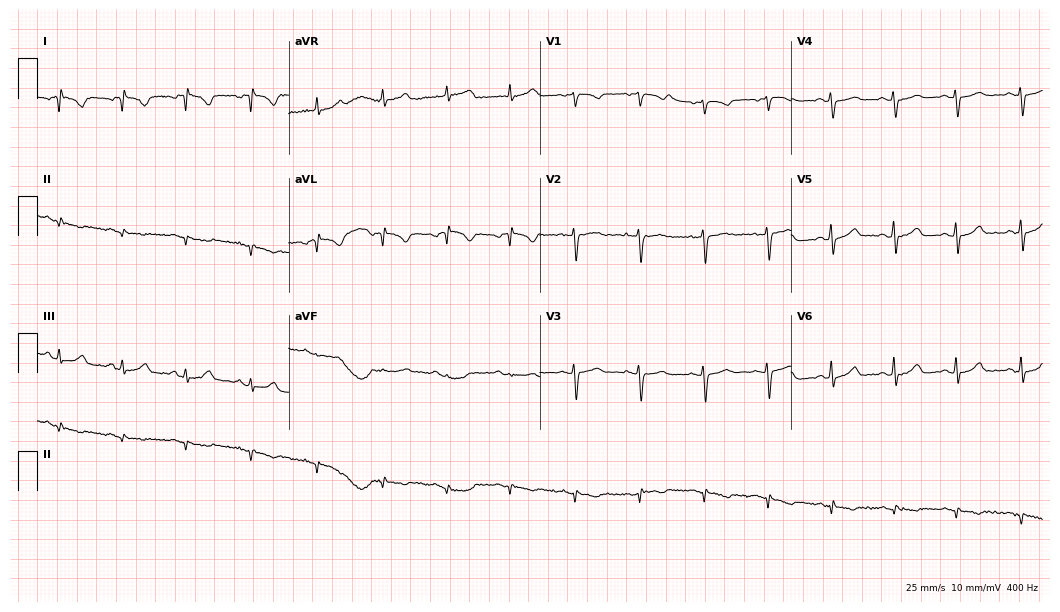
Resting 12-lead electrocardiogram (10.2-second recording at 400 Hz). Patient: a female, 43 years old. None of these six findings is recorded: first-degree AV block, right bundle branch block (RBBB), left bundle branch block (LBBB), sinus bradycardia, atrial fibrillation (AF), sinus tachycardia. Other findings, if any, are not listed.